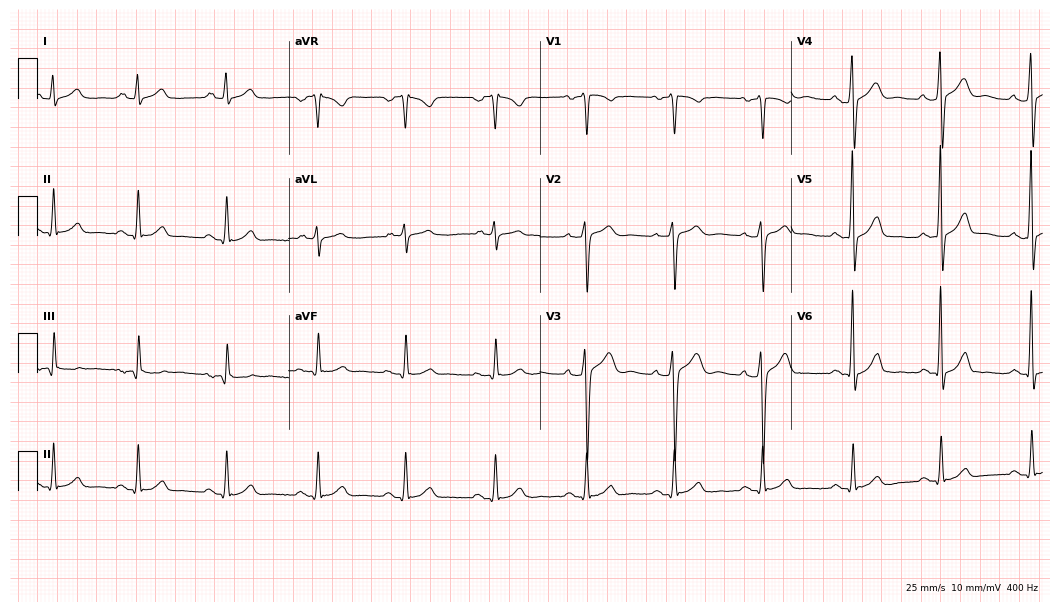
Electrocardiogram, a male, 49 years old. Overall reading on record: normal ECG.